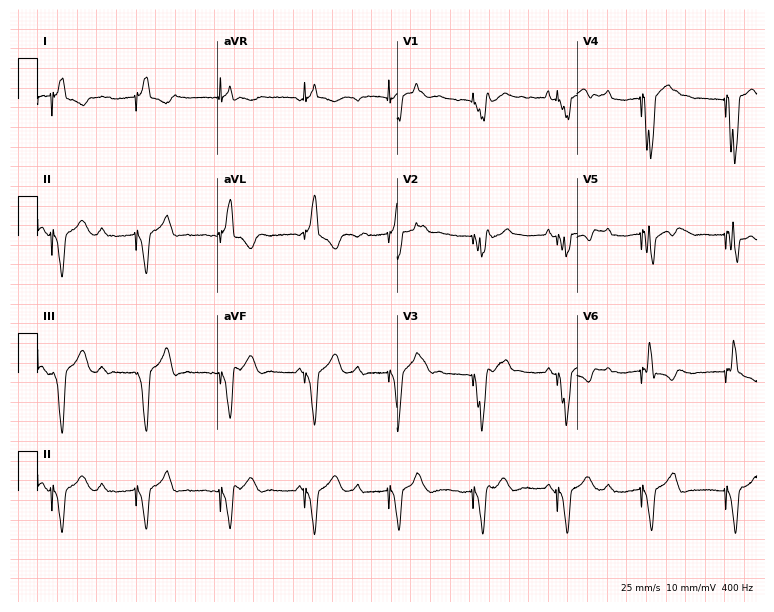
ECG — a female patient, 80 years old. Screened for six findings — first-degree AV block, right bundle branch block, left bundle branch block, sinus bradycardia, atrial fibrillation, sinus tachycardia — none is recorded. Findings outside these six are not listed.